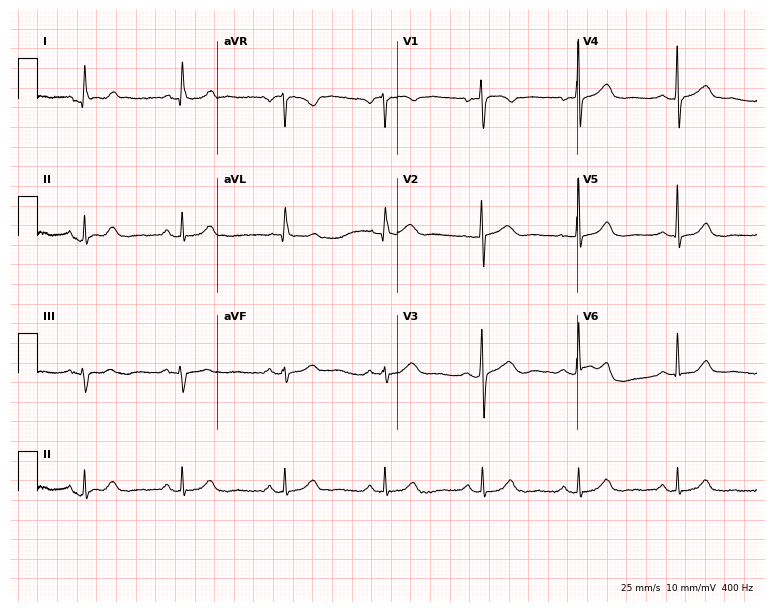
12-lead ECG from a female patient, 73 years old. Labelled as a normal ECG.